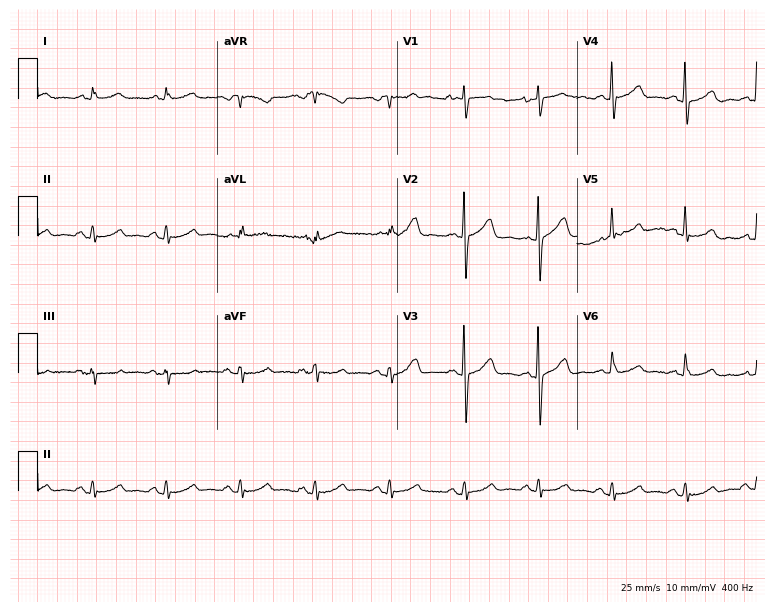
Electrocardiogram, a man, 66 years old. Overall reading on record: normal ECG.